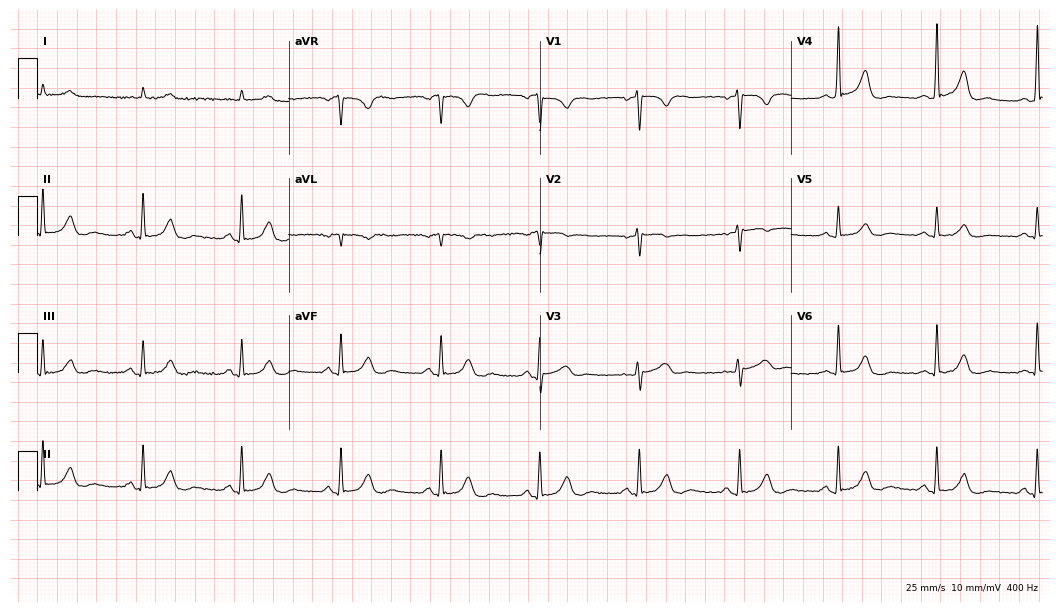
12-lead ECG (10.2-second recording at 400 Hz) from a male patient, 74 years old. Labelled as a normal ECG.